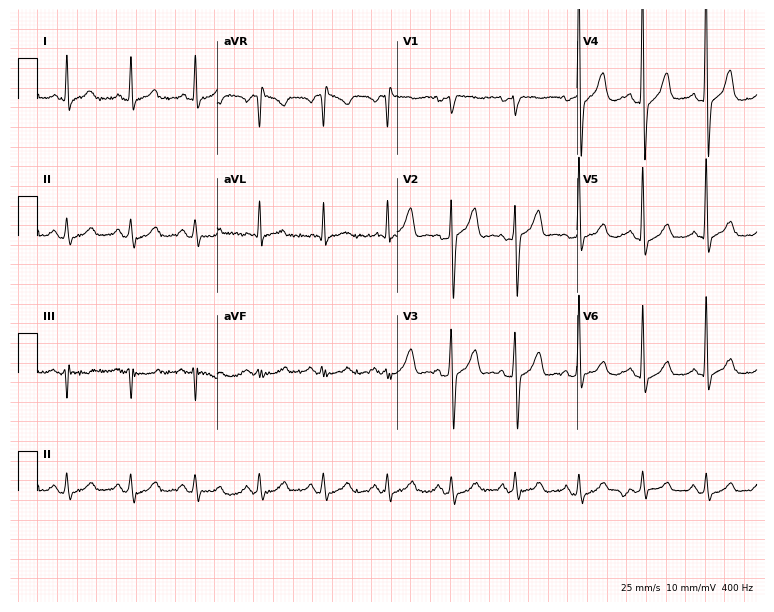
12-lead ECG from a male, 69 years old (7.3-second recording at 400 Hz). Recorded interpretation: within normal limits.